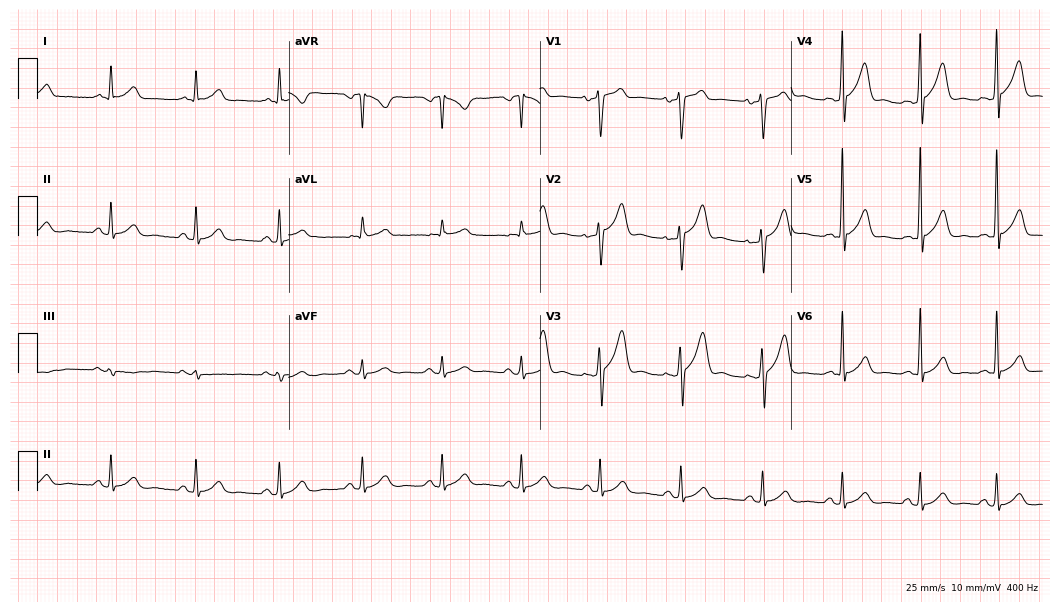
Electrocardiogram, a male, 49 years old. Of the six screened findings (first-degree AV block, right bundle branch block, left bundle branch block, sinus bradycardia, atrial fibrillation, sinus tachycardia), none is recorded. Findings outside these six are not listed.